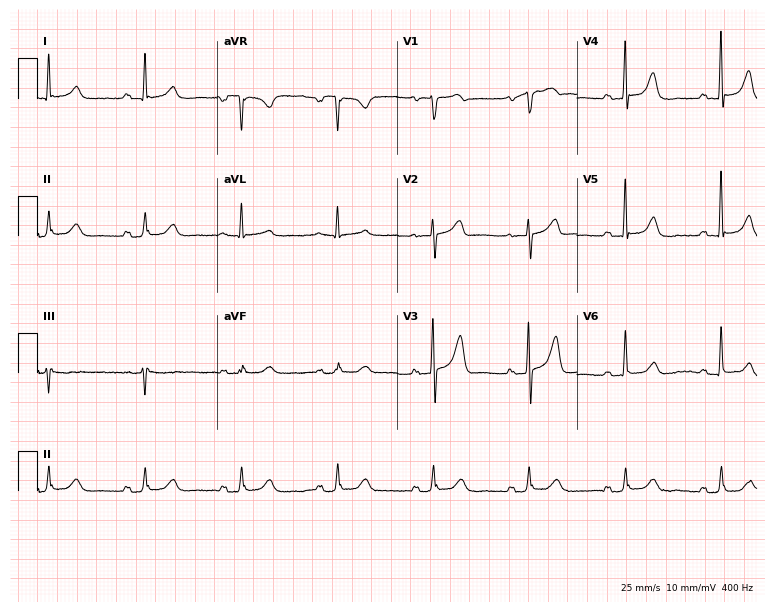
Standard 12-lead ECG recorded from an 85-year-old female patient. Read as a normal ECG.